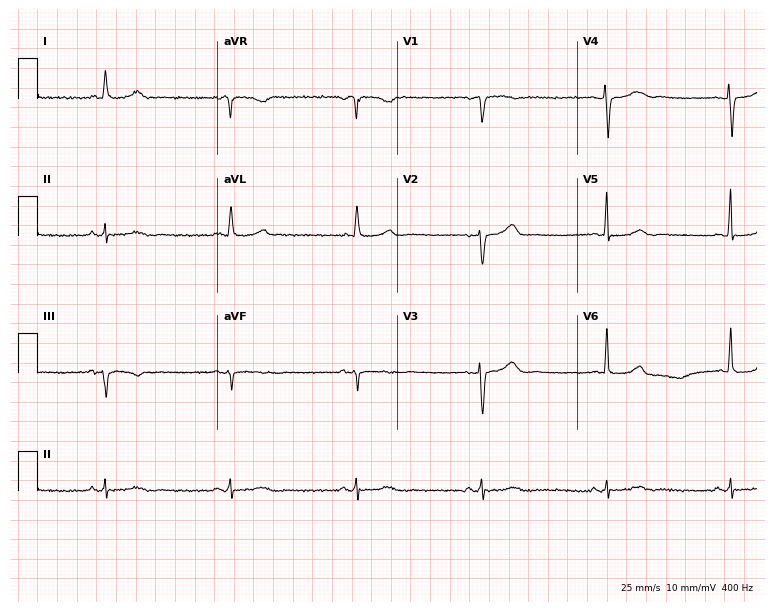
Electrocardiogram, a woman, 71 years old. Interpretation includes sinus bradycardia (a sinus rate of 50 beats per minute or less).